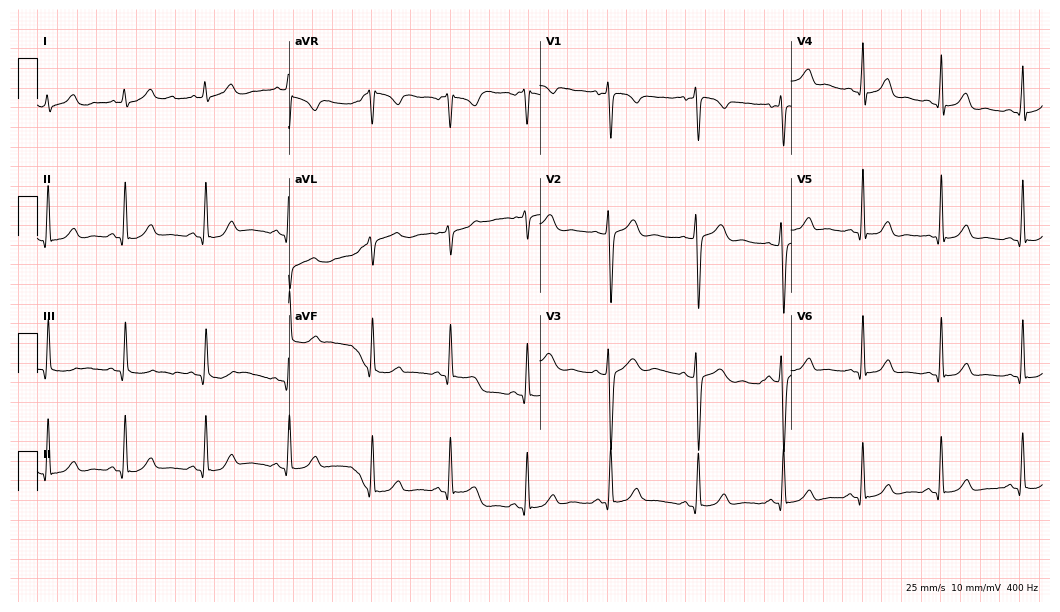
12-lead ECG from a man, 25 years old. Labelled as a normal ECG.